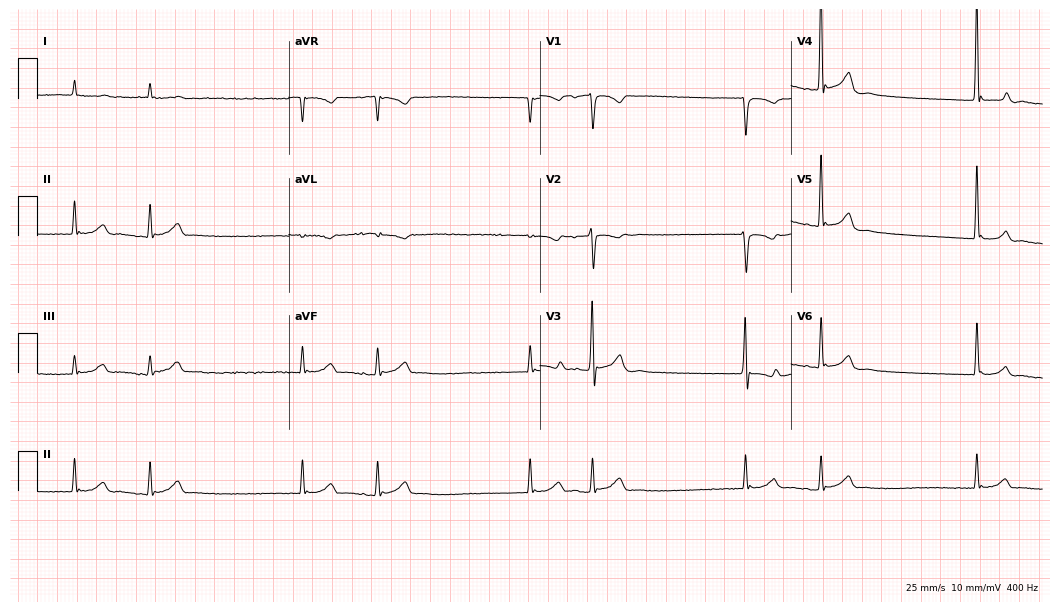
ECG (10.2-second recording at 400 Hz) — a male patient, 55 years old. Screened for six findings — first-degree AV block, right bundle branch block (RBBB), left bundle branch block (LBBB), sinus bradycardia, atrial fibrillation (AF), sinus tachycardia — none is recorded.